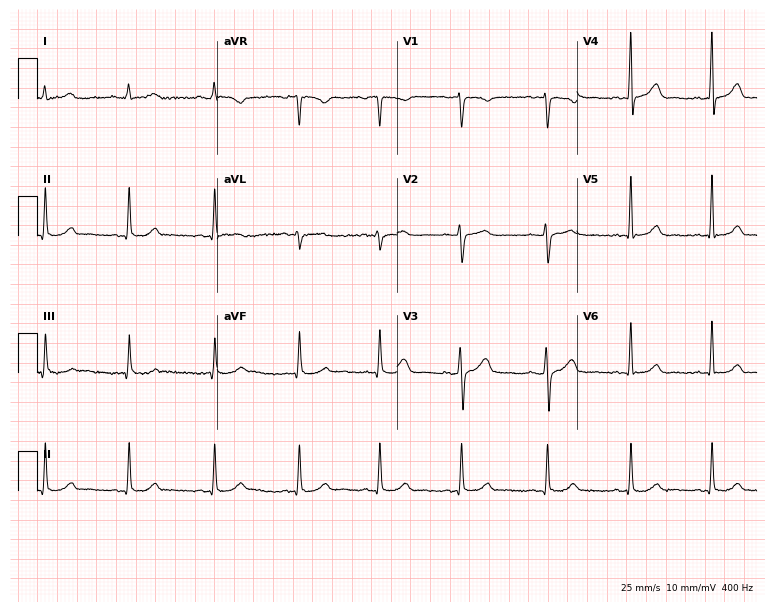
Electrocardiogram (7.3-second recording at 400 Hz), a woman, 42 years old. Overall reading on record: normal ECG.